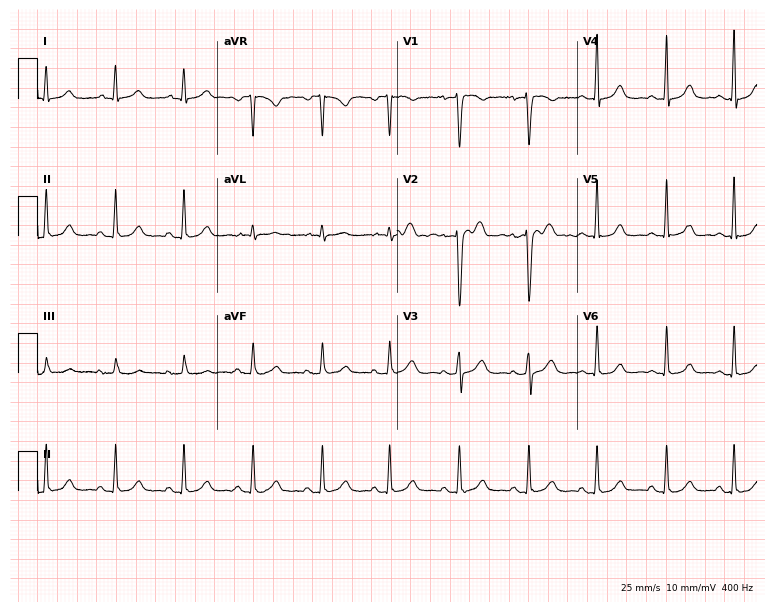
12-lead ECG (7.3-second recording at 400 Hz) from a female patient, 34 years old. Labelled as a normal ECG.